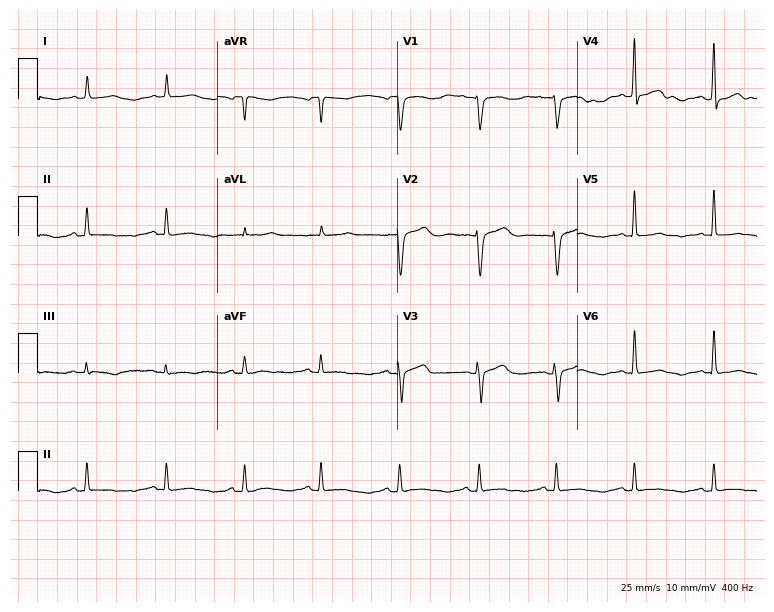
12-lead ECG (7.3-second recording at 400 Hz) from a 57-year-old female patient. Screened for six findings — first-degree AV block, right bundle branch block (RBBB), left bundle branch block (LBBB), sinus bradycardia, atrial fibrillation (AF), sinus tachycardia — none is recorded.